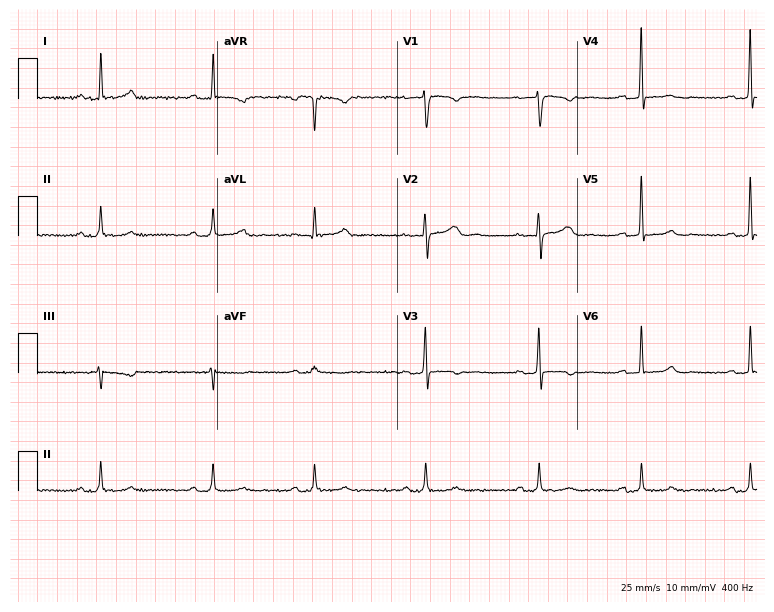
Resting 12-lead electrocardiogram. Patient: a 37-year-old woman. Read as a normal ECG.